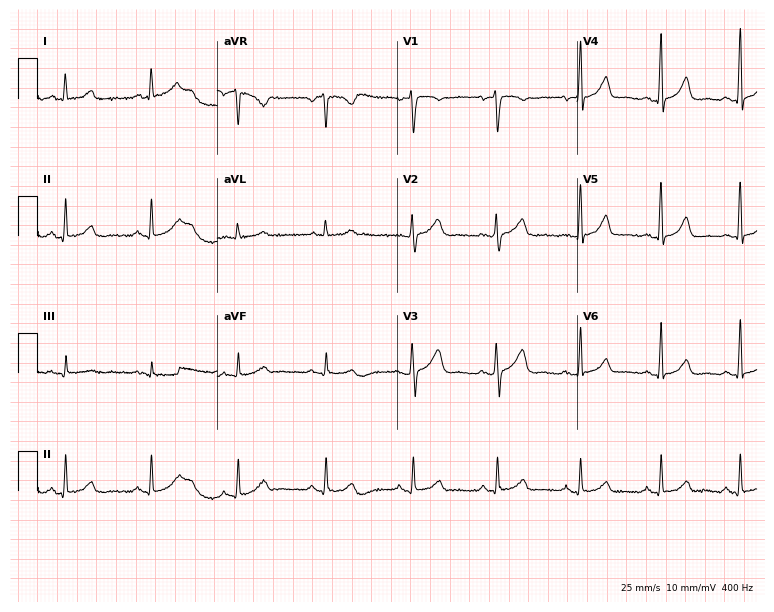
ECG — a female, 51 years old. Labelled as a normal ECG.